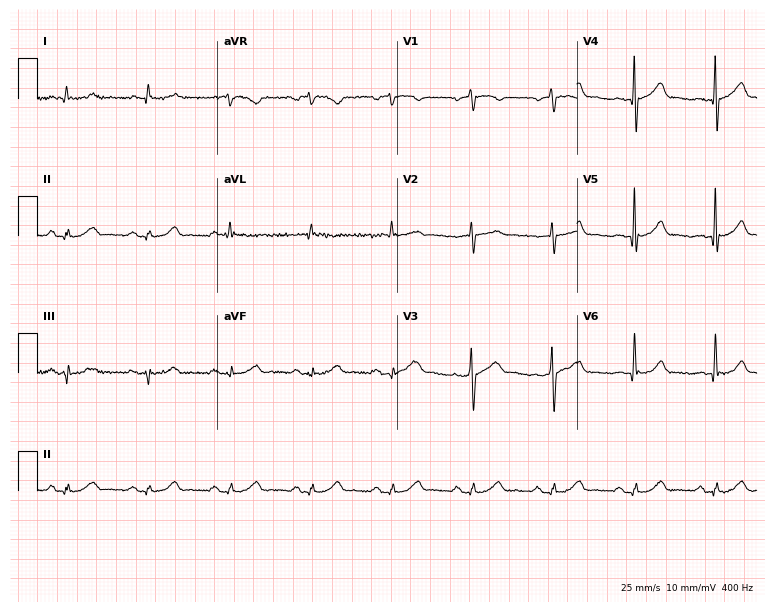
12-lead ECG from a male, 72 years old. Screened for six findings — first-degree AV block, right bundle branch block (RBBB), left bundle branch block (LBBB), sinus bradycardia, atrial fibrillation (AF), sinus tachycardia — none is recorded.